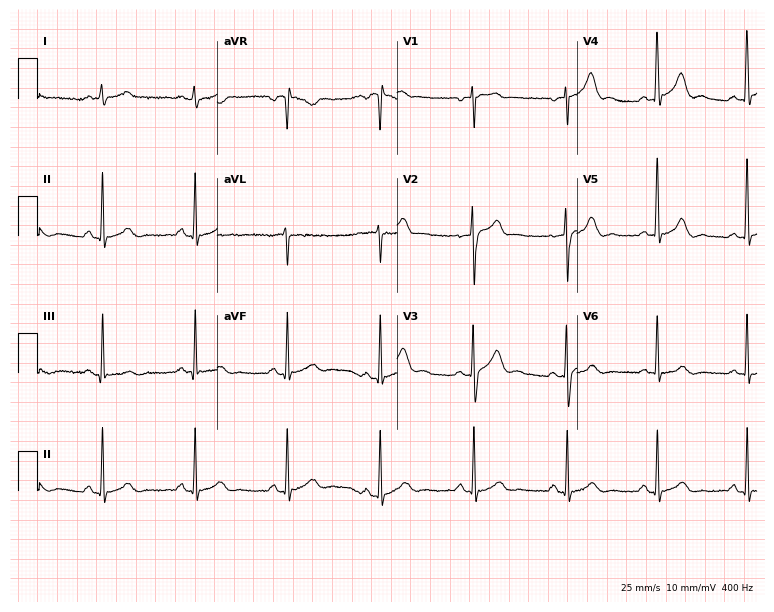
12-lead ECG from a man, 38 years old. Recorded interpretation: within normal limits.